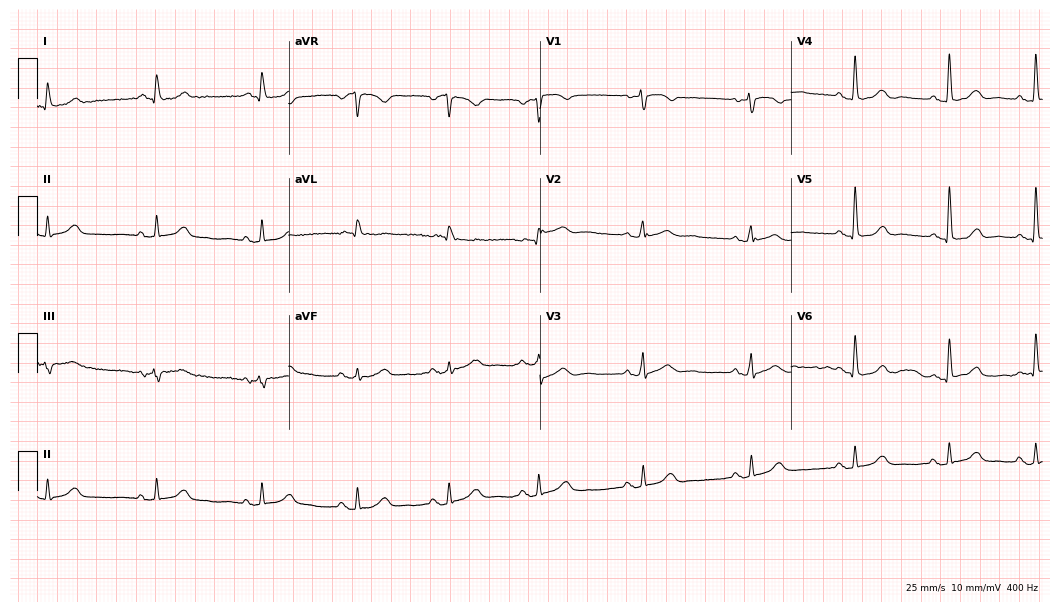
12-lead ECG (10.2-second recording at 400 Hz) from a female patient, 51 years old. Labelled as a normal ECG.